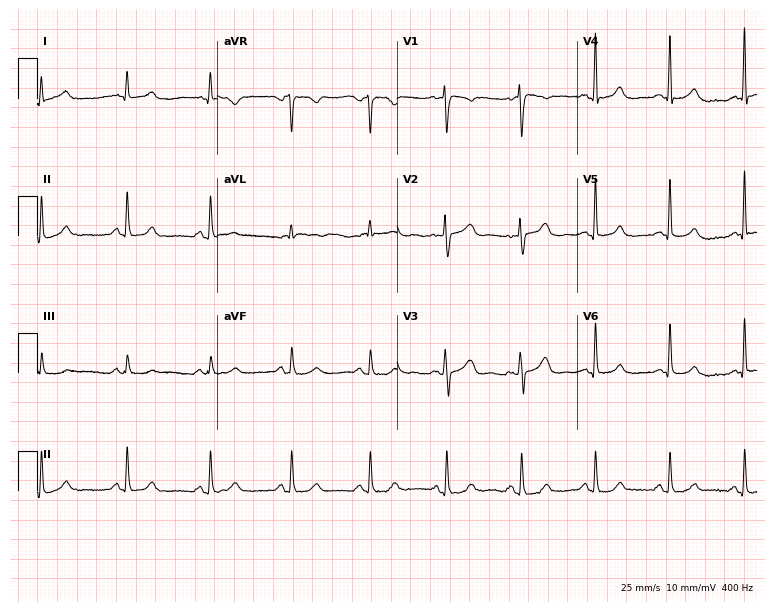
12-lead ECG from a woman, 48 years old (7.3-second recording at 400 Hz). No first-degree AV block, right bundle branch block, left bundle branch block, sinus bradycardia, atrial fibrillation or sinus tachycardia recorded for this tracing. Other findings, if any, are not listed.